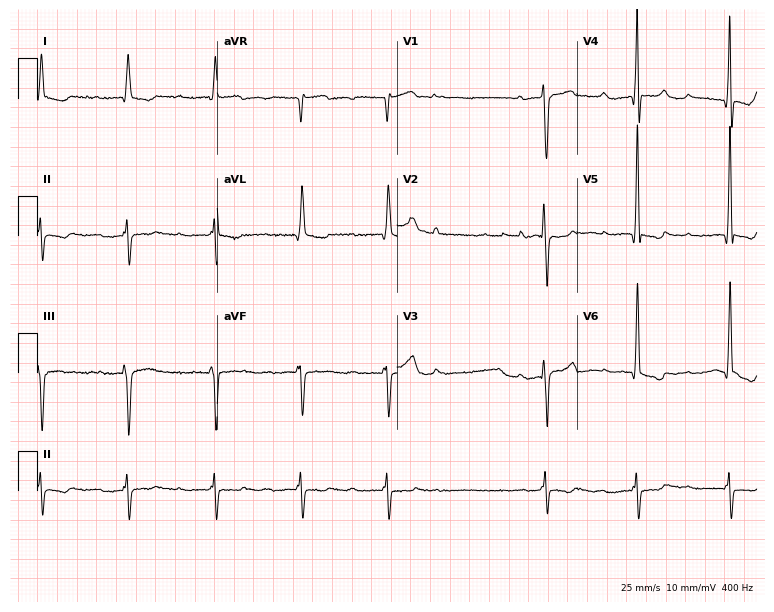
12-lead ECG from a male patient, 53 years old. Screened for six findings — first-degree AV block, right bundle branch block, left bundle branch block, sinus bradycardia, atrial fibrillation, sinus tachycardia — none is recorded. Only these six findings were labelled.